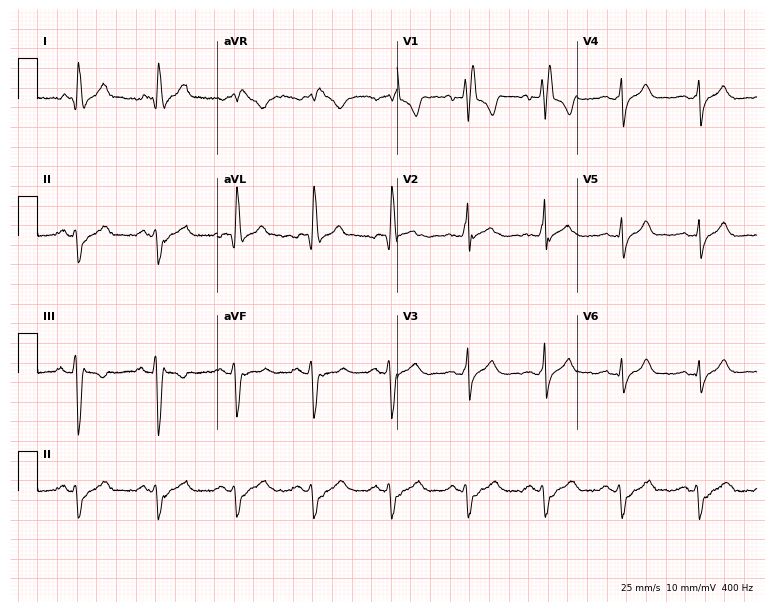
ECG (7.3-second recording at 400 Hz) — a man, 39 years old. Findings include right bundle branch block.